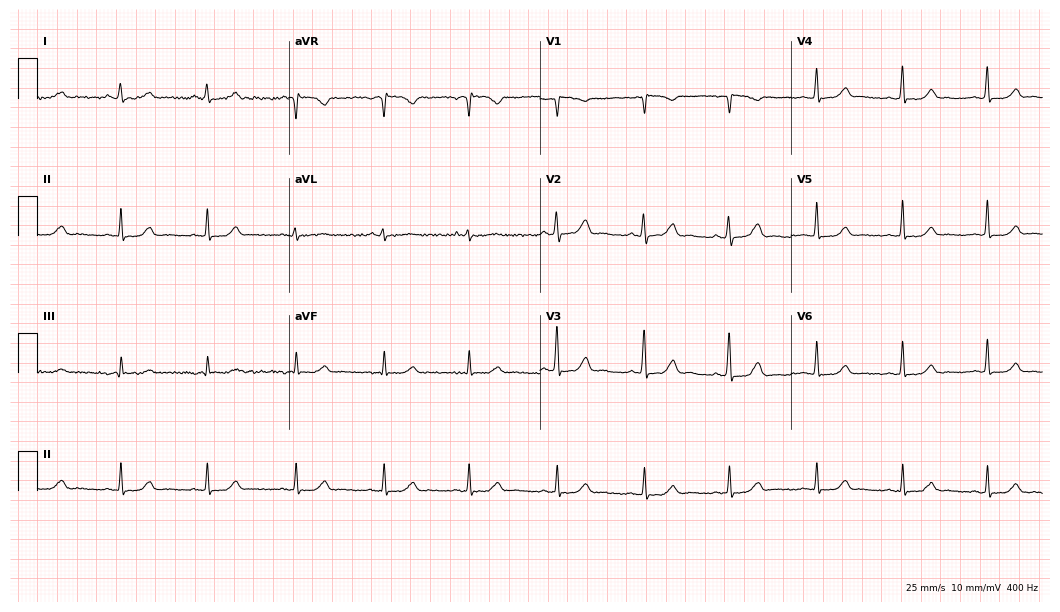
Electrocardiogram, a female, 53 years old. Overall reading on record: normal ECG.